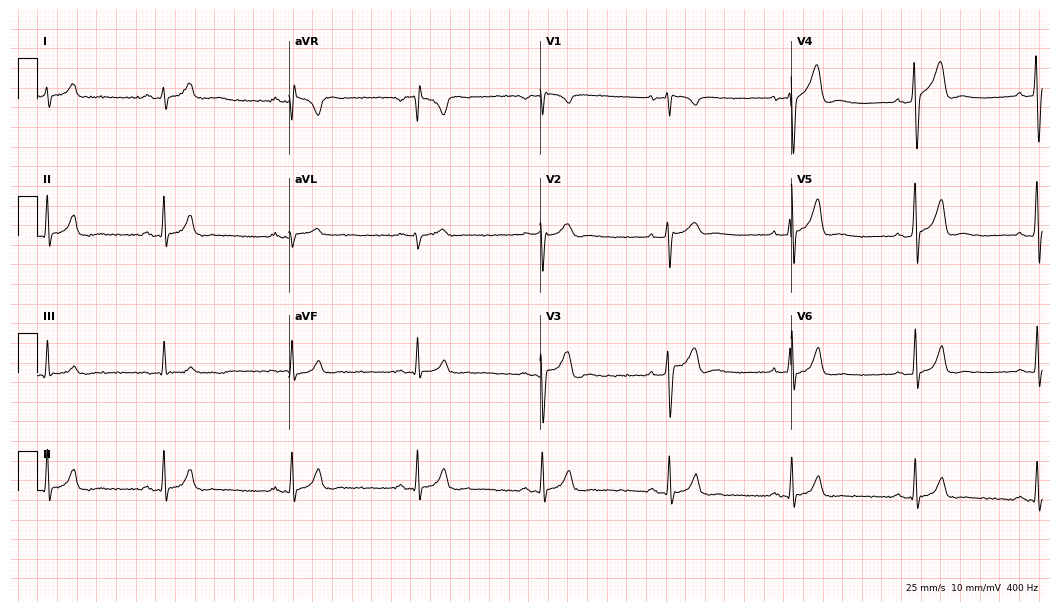
12-lead ECG from a man, 25 years old. Labelled as a normal ECG.